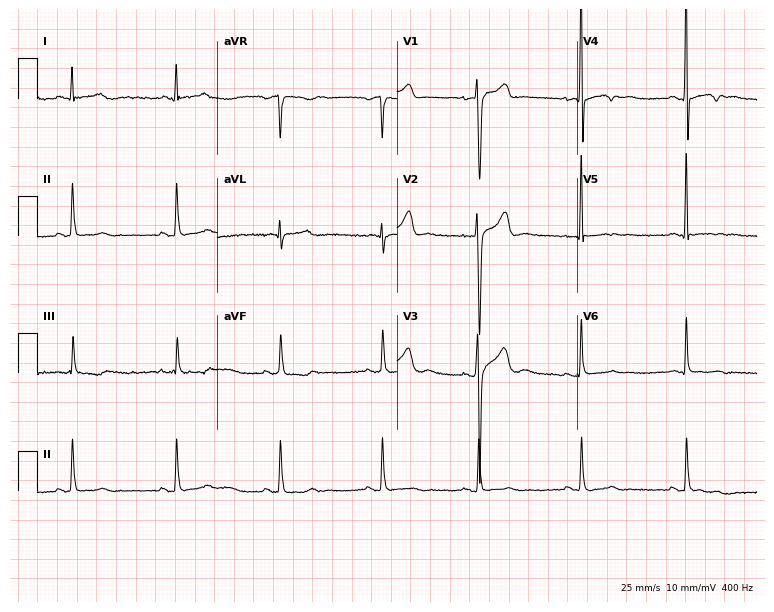
Resting 12-lead electrocardiogram (7.3-second recording at 400 Hz). Patient: a 45-year-old male. None of these six findings is recorded: first-degree AV block, right bundle branch block, left bundle branch block, sinus bradycardia, atrial fibrillation, sinus tachycardia. Other findings, if any, are not listed.